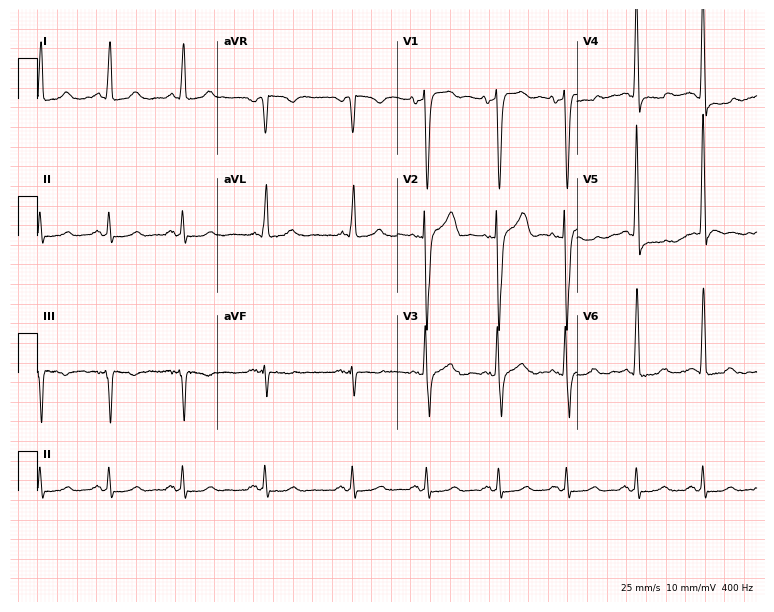
ECG — a male patient, 56 years old. Screened for six findings — first-degree AV block, right bundle branch block, left bundle branch block, sinus bradycardia, atrial fibrillation, sinus tachycardia — none is recorded.